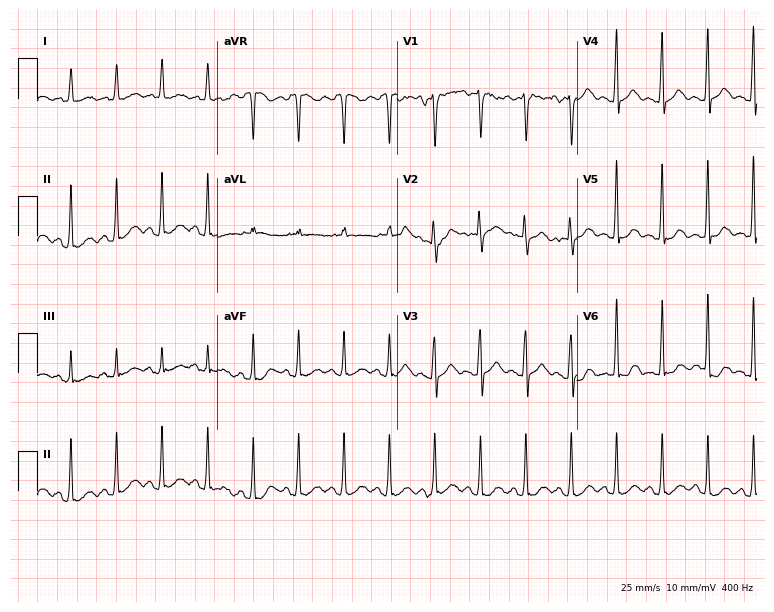
Standard 12-lead ECG recorded from a female patient, 45 years old. None of these six findings is recorded: first-degree AV block, right bundle branch block (RBBB), left bundle branch block (LBBB), sinus bradycardia, atrial fibrillation (AF), sinus tachycardia. Other findings, if any, are not listed.